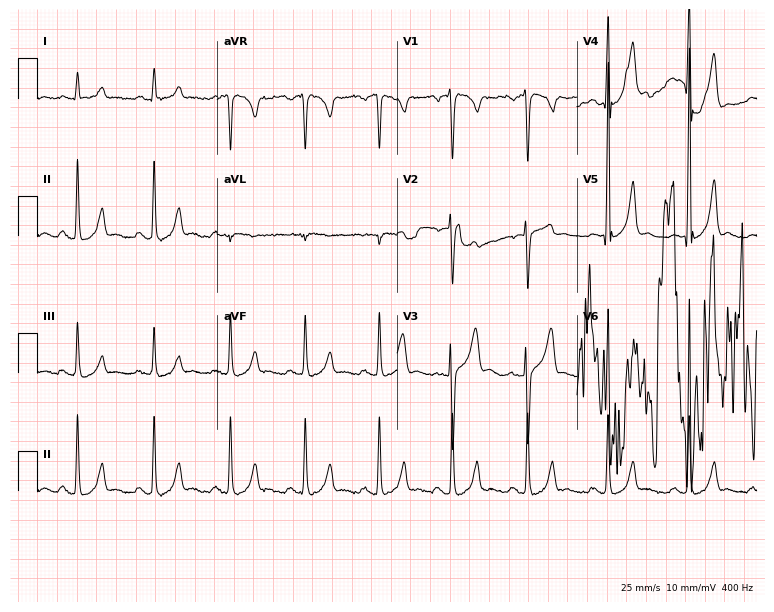
Resting 12-lead electrocardiogram (7.3-second recording at 400 Hz). Patient: a male, 36 years old. None of these six findings is recorded: first-degree AV block, right bundle branch block, left bundle branch block, sinus bradycardia, atrial fibrillation, sinus tachycardia. Findings outside these six are not listed.